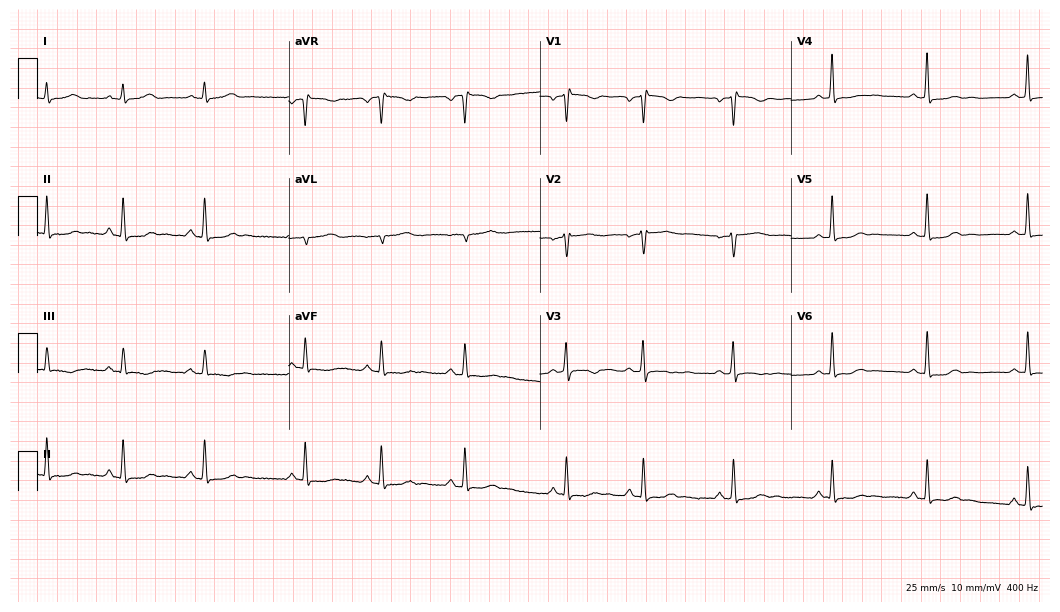
Electrocardiogram (10.2-second recording at 400 Hz), a 35-year-old female patient. Of the six screened findings (first-degree AV block, right bundle branch block (RBBB), left bundle branch block (LBBB), sinus bradycardia, atrial fibrillation (AF), sinus tachycardia), none is recorded.